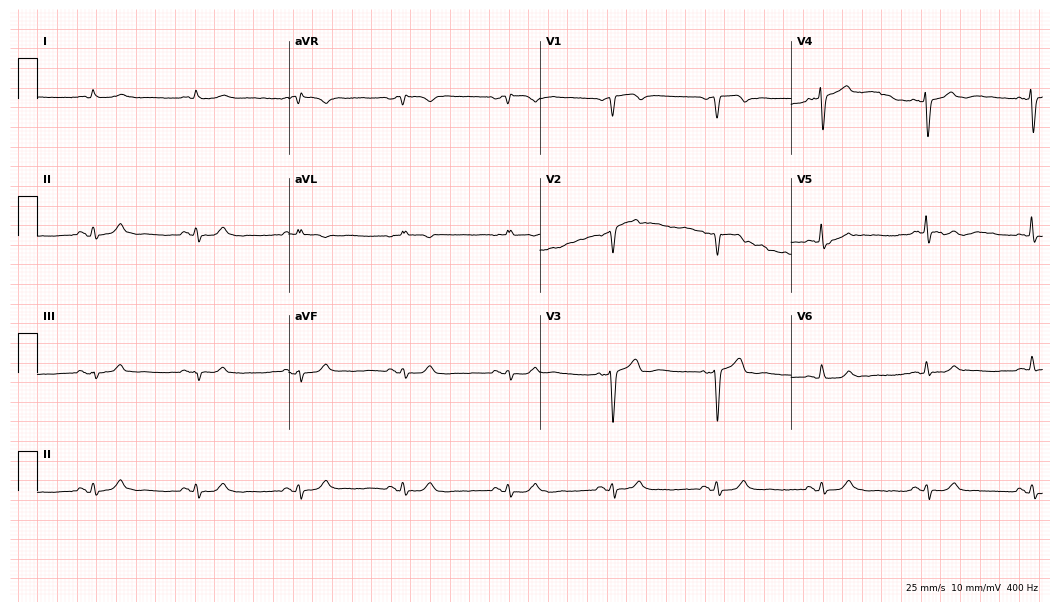
Resting 12-lead electrocardiogram. Patient: a 77-year-old male. None of these six findings is recorded: first-degree AV block, right bundle branch block, left bundle branch block, sinus bradycardia, atrial fibrillation, sinus tachycardia.